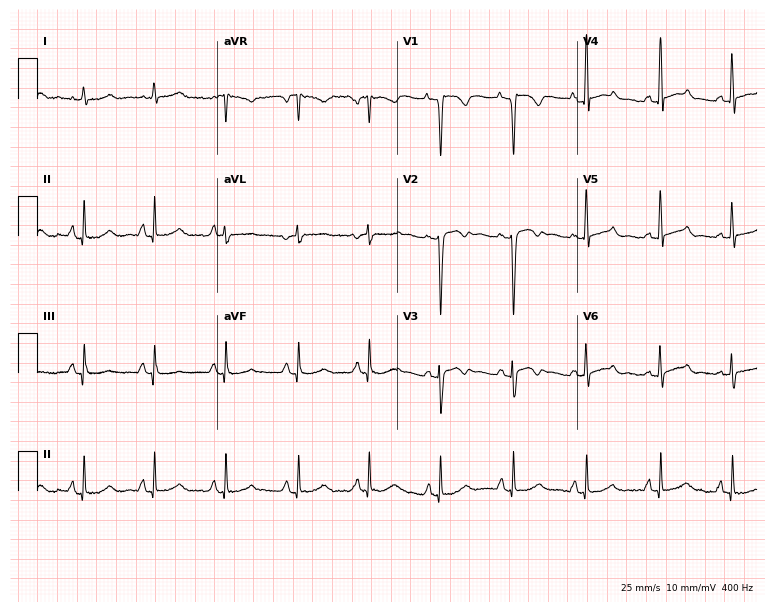
12-lead ECG from a female patient, 60 years old. No first-degree AV block, right bundle branch block, left bundle branch block, sinus bradycardia, atrial fibrillation or sinus tachycardia recorded for this tracing.